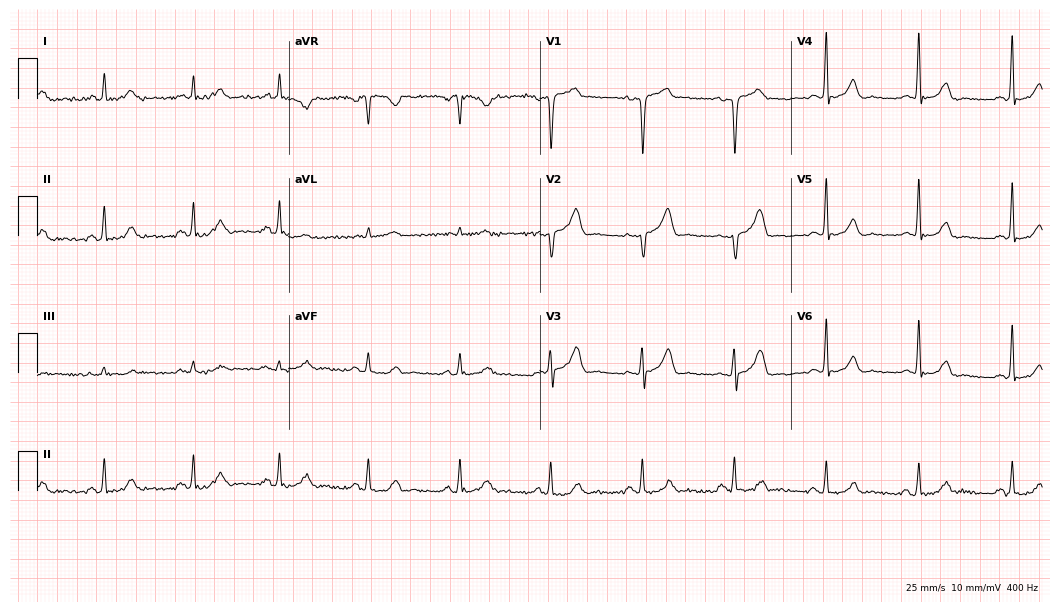
12-lead ECG from a man, 48 years old. Recorded interpretation: within normal limits.